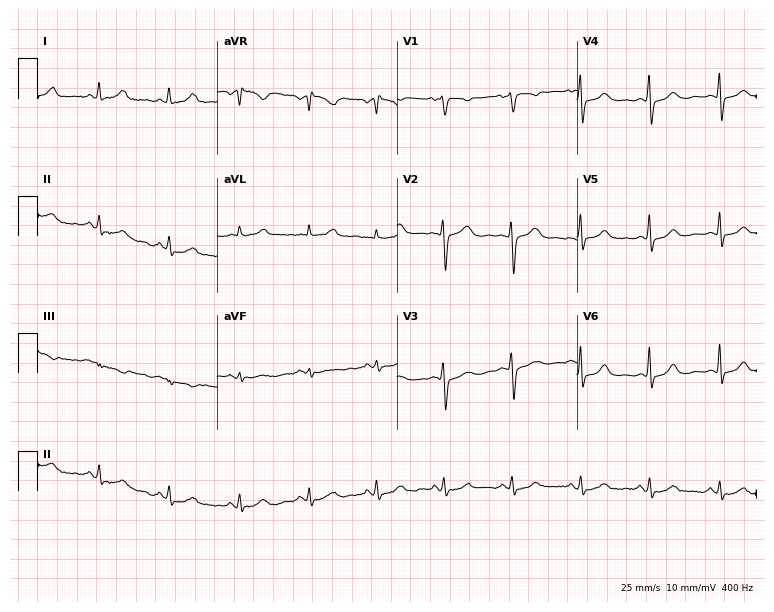
Standard 12-lead ECG recorded from a woman, 56 years old. None of these six findings is recorded: first-degree AV block, right bundle branch block, left bundle branch block, sinus bradycardia, atrial fibrillation, sinus tachycardia. Only these six findings were labelled.